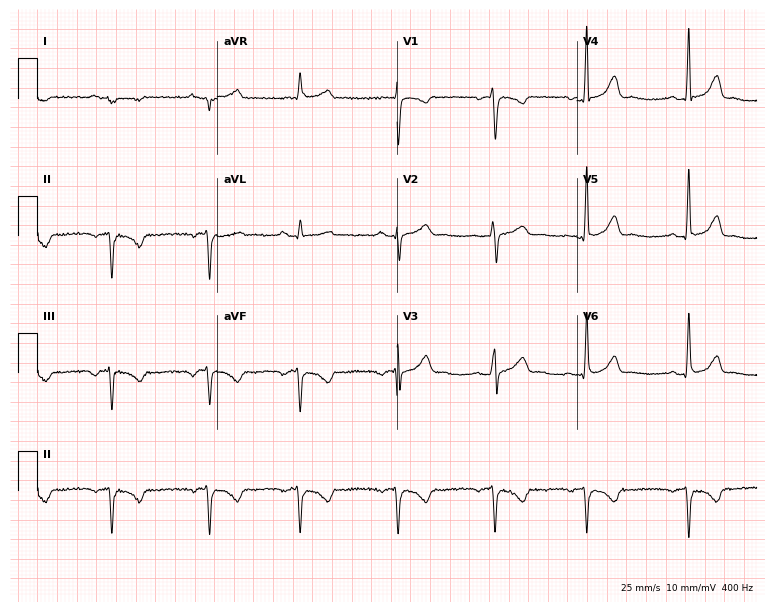
ECG — a female patient, 41 years old. Screened for six findings — first-degree AV block, right bundle branch block, left bundle branch block, sinus bradycardia, atrial fibrillation, sinus tachycardia — none is recorded.